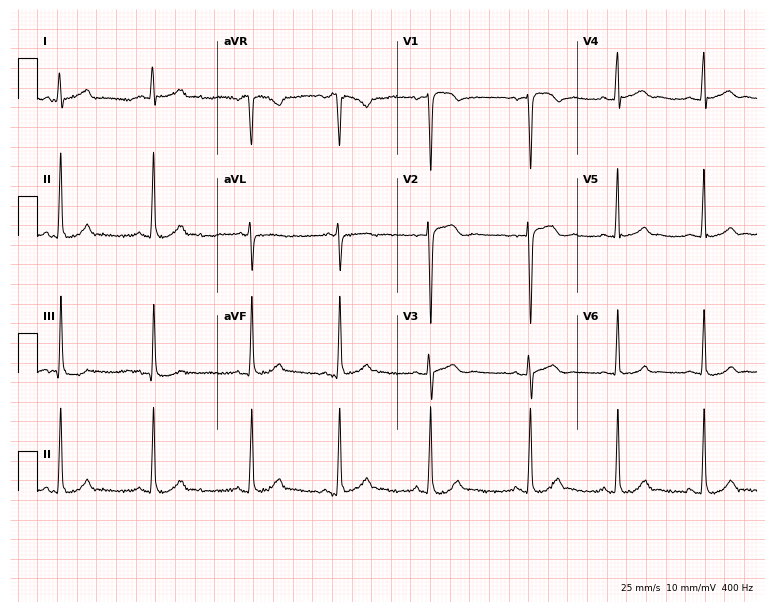
12-lead ECG (7.3-second recording at 400 Hz) from an 18-year-old female patient. Labelled as a normal ECG.